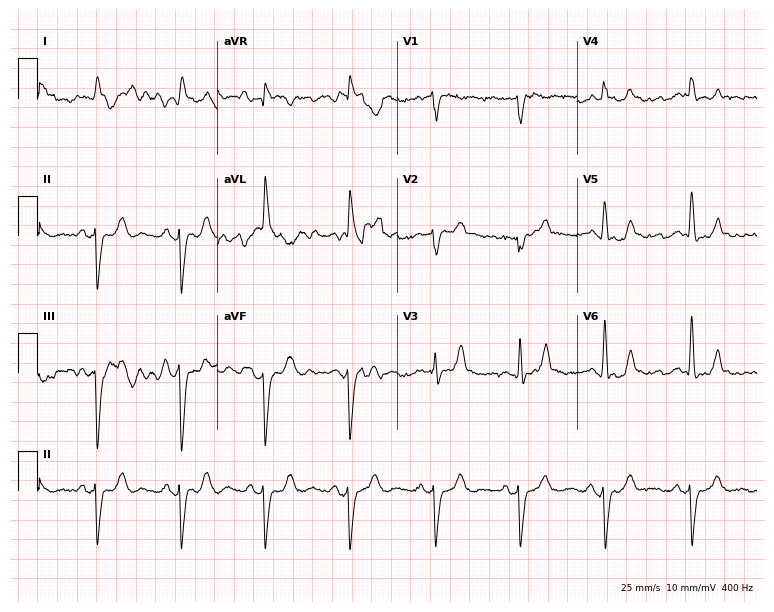
Resting 12-lead electrocardiogram. Patient: a male, 81 years old. None of these six findings is recorded: first-degree AV block, right bundle branch block (RBBB), left bundle branch block (LBBB), sinus bradycardia, atrial fibrillation (AF), sinus tachycardia. Only these six findings were labelled.